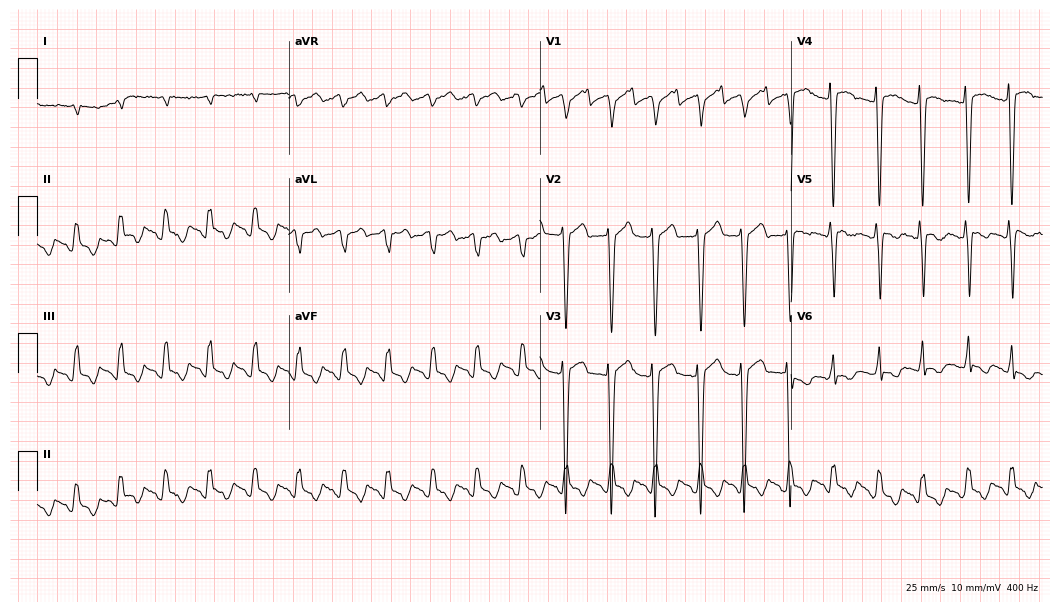
ECG — a 57-year-old male. Screened for six findings — first-degree AV block, right bundle branch block, left bundle branch block, sinus bradycardia, atrial fibrillation, sinus tachycardia — none is recorded.